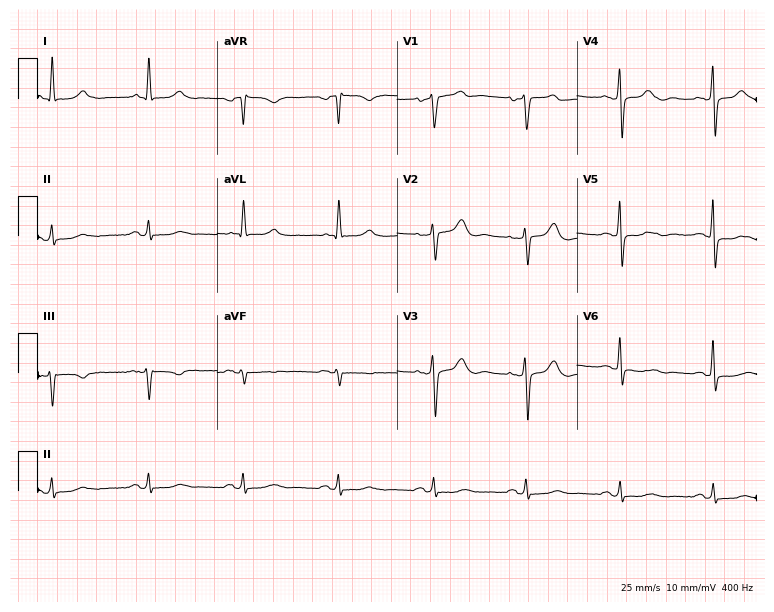
ECG (7.3-second recording at 400 Hz) — a 72-year-old man. Screened for six findings — first-degree AV block, right bundle branch block, left bundle branch block, sinus bradycardia, atrial fibrillation, sinus tachycardia — none is recorded. Only these six findings were labelled.